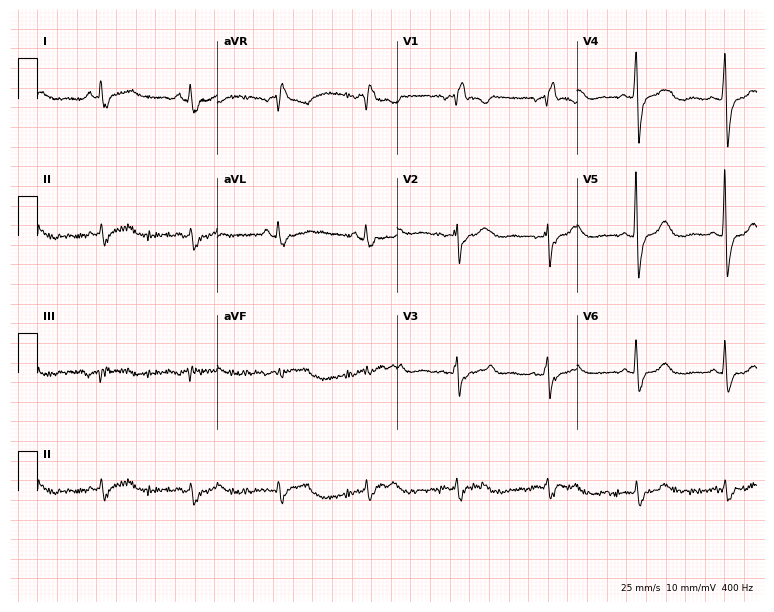
Electrocardiogram (7.3-second recording at 400 Hz), an 83-year-old man. Interpretation includes right bundle branch block (RBBB).